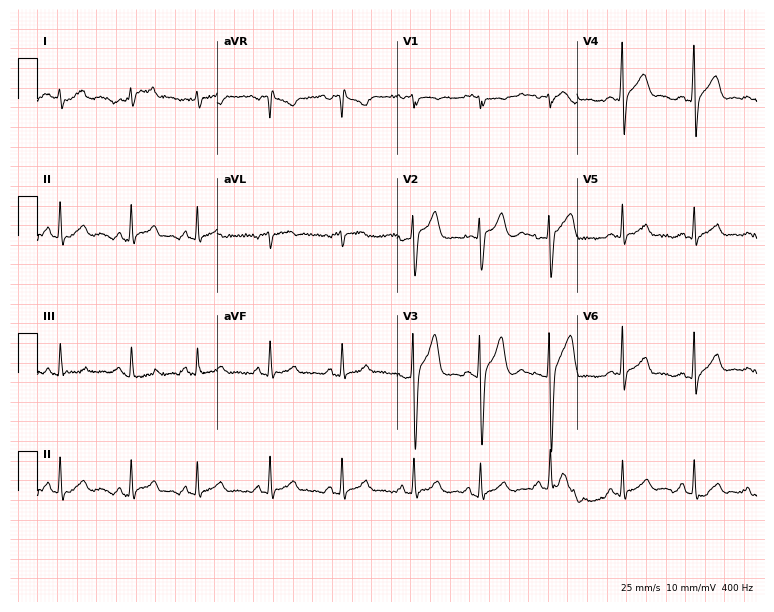
ECG (7.3-second recording at 400 Hz) — a male, 38 years old. Labelled as a normal ECG.